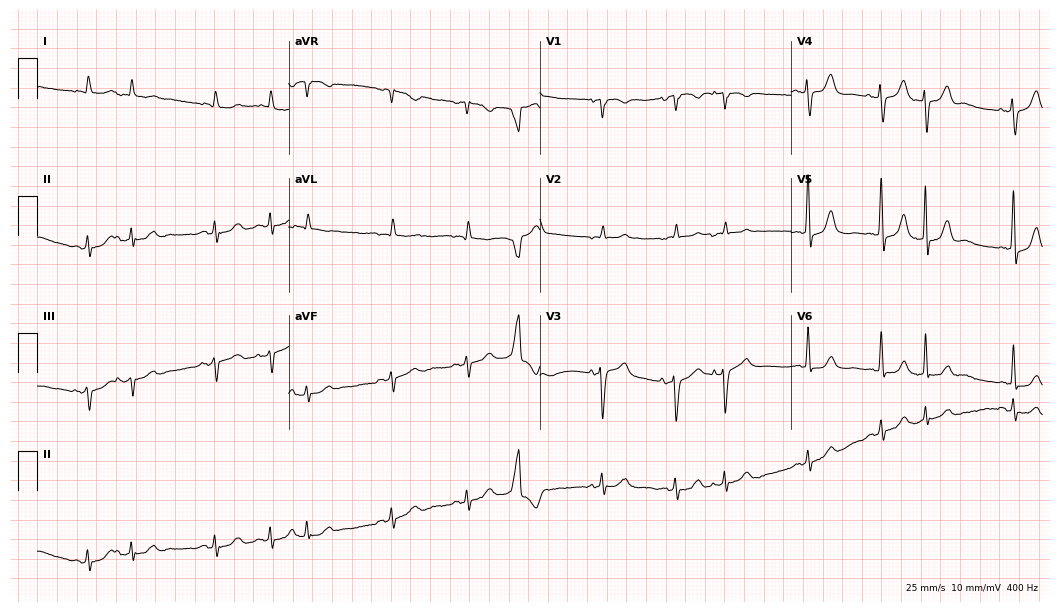
12-lead ECG from a woman, 85 years old. Screened for six findings — first-degree AV block, right bundle branch block, left bundle branch block, sinus bradycardia, atrial fibrillation, sinus tachycardia — none is recorded.